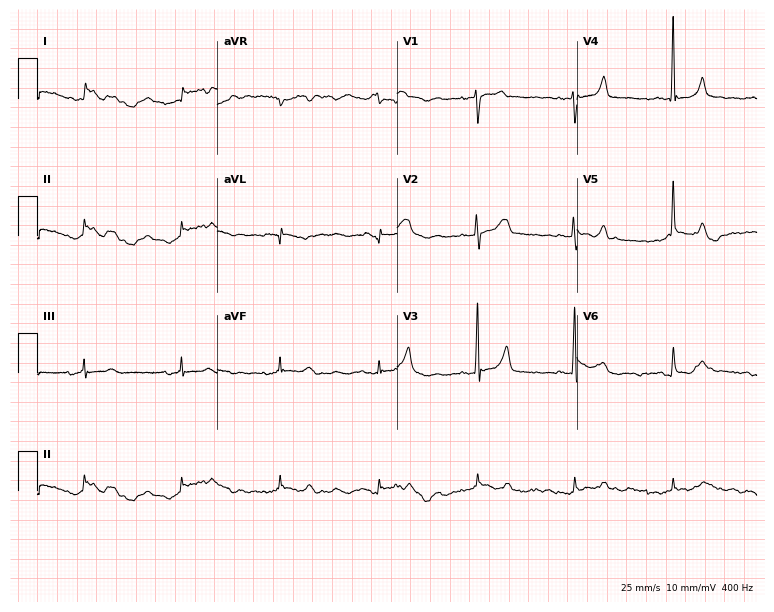
ECG — a 69-year-old male patient. Screened for six findings — first-degree AV block, right bundle branch block (RBBB), left bundle branch block (LBBB), sinus bradycardia, atrial fibrillation (AF), sinus tachycardia — none is recorded. Only these six findings were labelled.